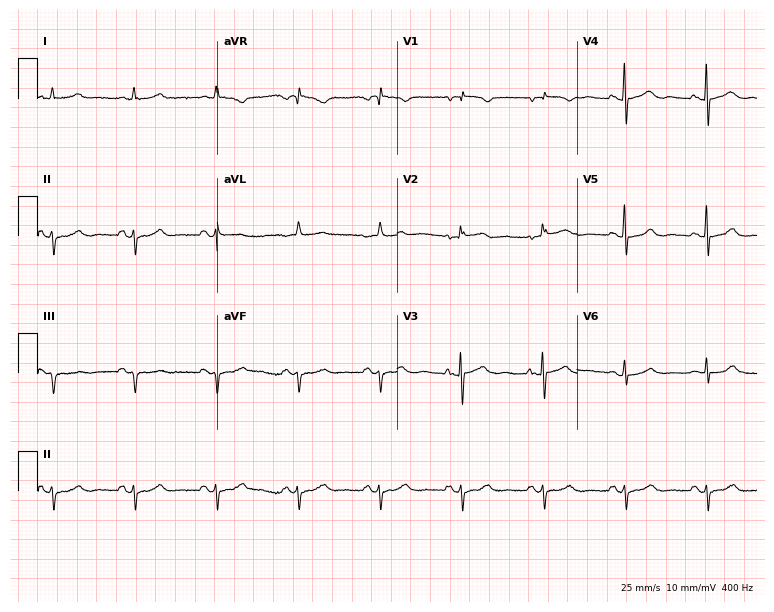
ECG — a female, 84 years old. Screened for six findings — first-degree AV block, right bundle branch block, left bundle branch block, sinus bradycardia, atrial fibrillation, sinus tachycardia — none is recorded.